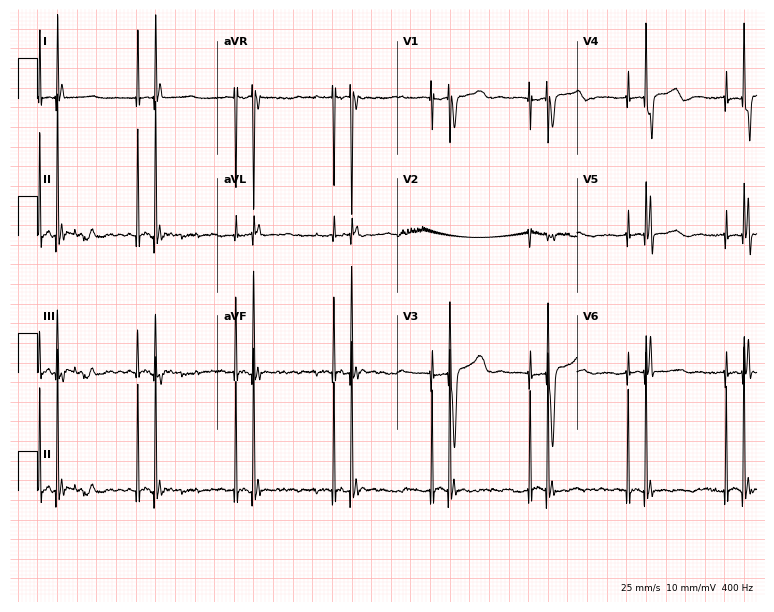
12-lead ECG (7.3-second recording at 400 Hz) from an 83-year-old male patient. Screened for six findings — first-degree AV block, right bundle branch block (RBBB), left bundle branch block (LBBB), sinus bradycardia, atrial fibrillation (AF), sinus tachycardia — none is recorded. Other findings, if any, are not listed.